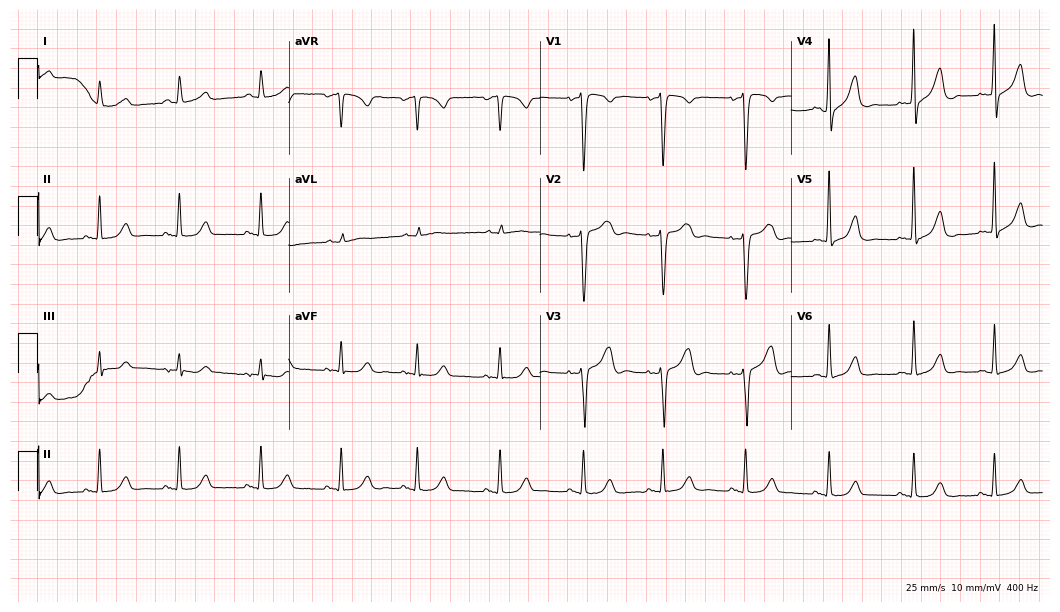
12-lead ECG from a female, 45 years old. Recorded interpretation: within normal limits.